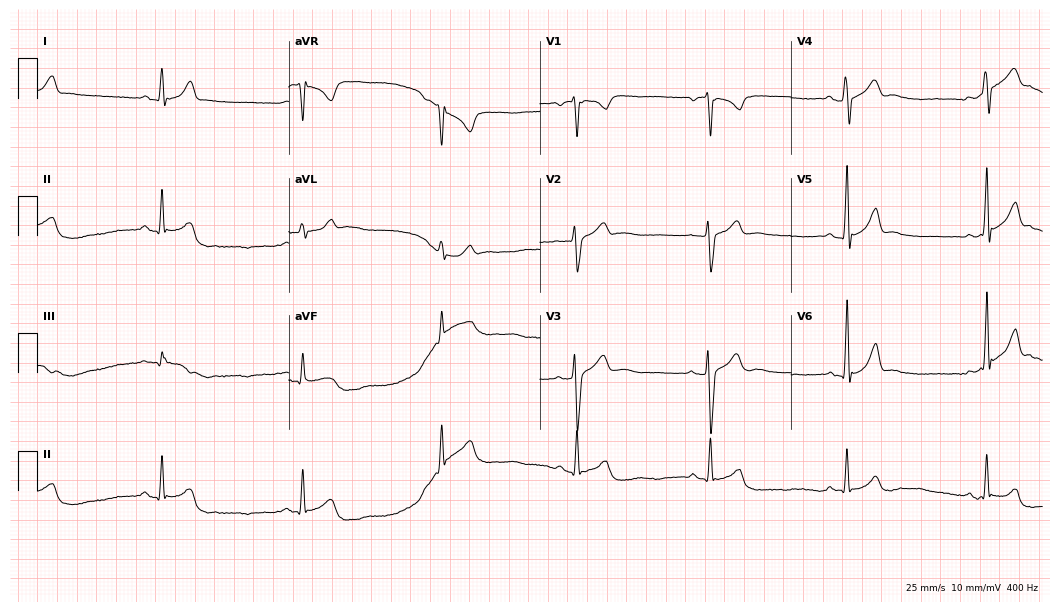
Standard 12-lead ECG recorded from a man, 40 years old. The tracing shows sinus bradycardia (a sinus rate of 50 beats per minute or less).